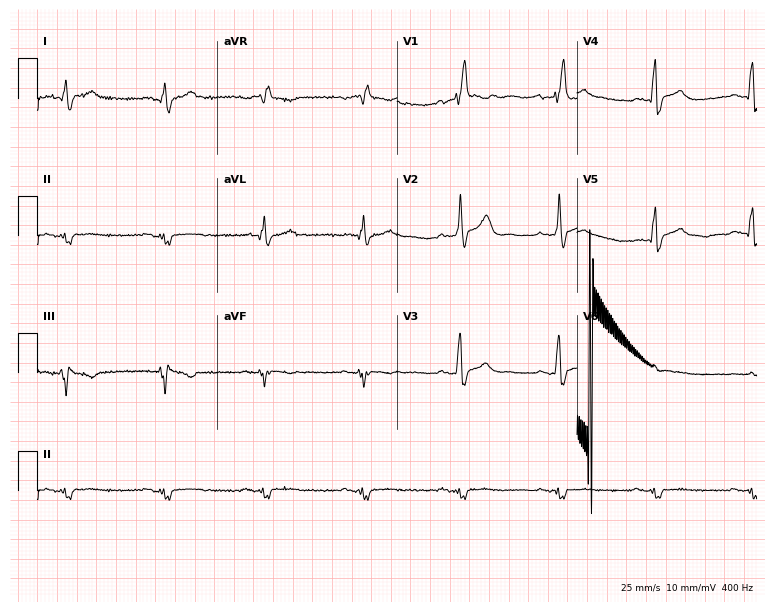
ECG (7.3-second recording at 400 Hz) — a 69-year-old male. Findings include right bundle branch block.